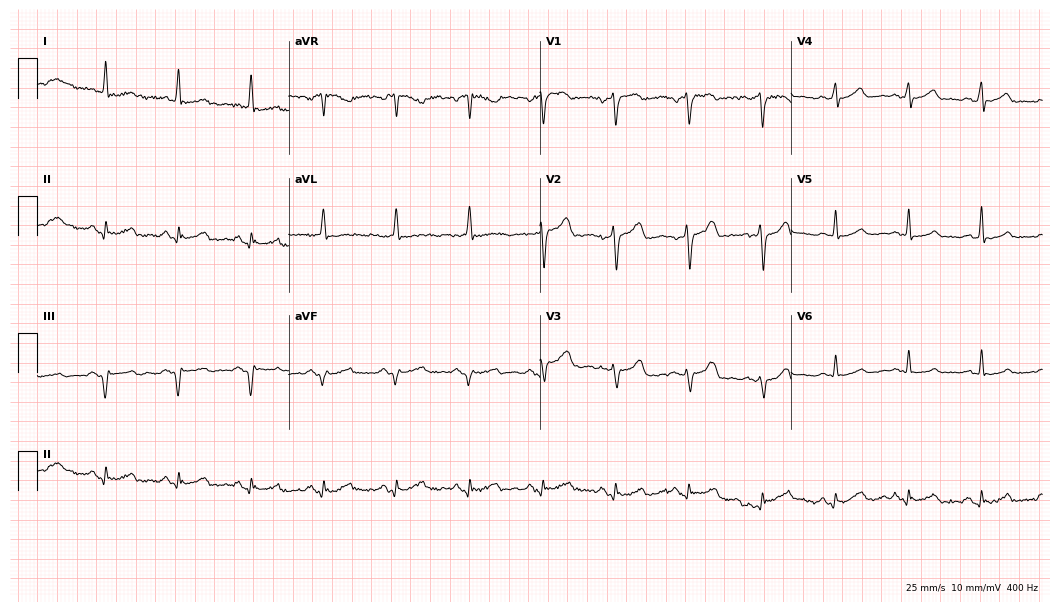
Electrocardiogram (10.2-second recording at 400 Hz), a man, 54 years old. Overall reading on record: normal ECG.